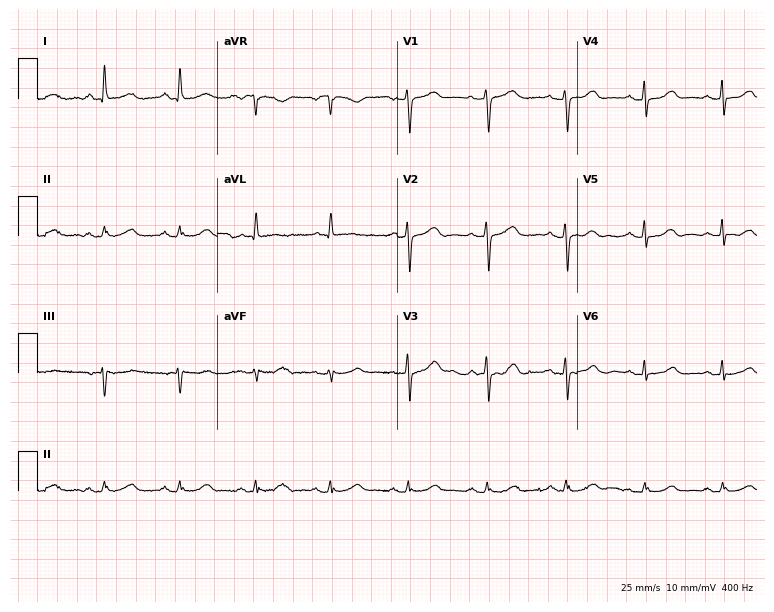
12-lead ECG from a woman, 56 years old. Screened for six findings — first-degree AV block, right bundle branch block (RBBB), left bundle branch block (LBBB), sinus bradycardia, atrial fibrillation (AF), sinus tachycardia — none is recorded.